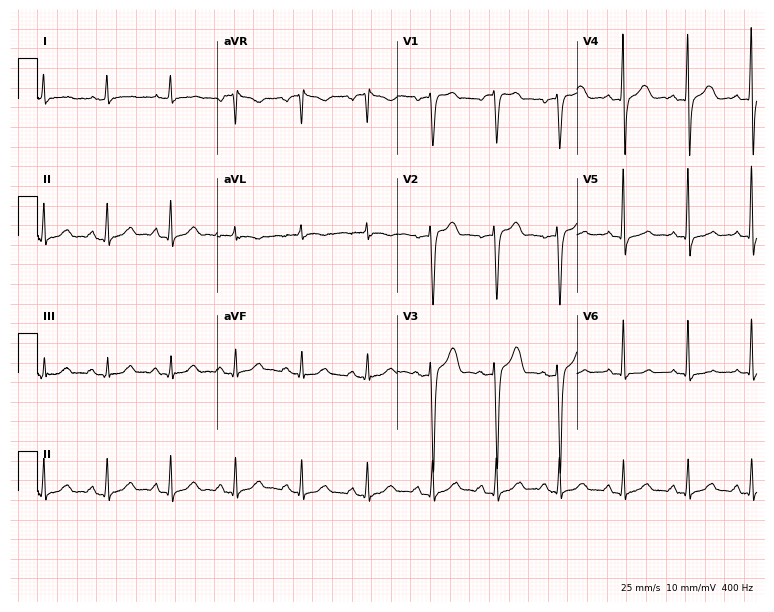
12-lead ECG from a 50-year-old male. Screened for six findings — first-degree AV block, right bundle branch block, left bundle branch block, sinus bradycardia, atrial fibrillation, sinus tachycardia — none is recorded. Findings outside these six are not listed.